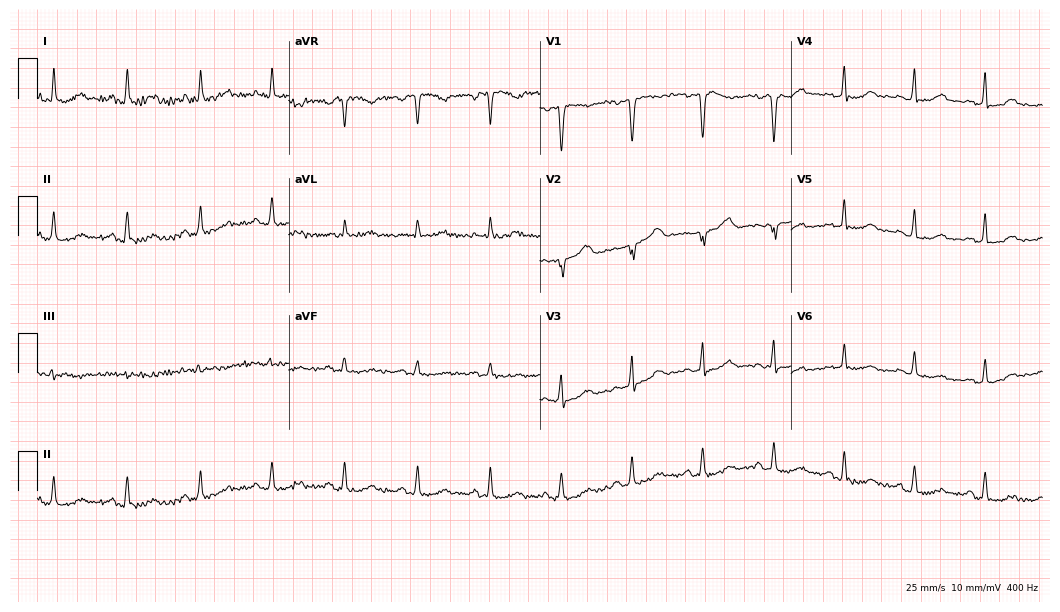
Resting 12-lead electrocardiogram (10.2-second recording at 400 Hz). Patient: a 45-year-old female. None of these six findings is recorded: first-degree AV block, right bundle branch block, left bundle branch block, sinus bradycardia, atrial fibrillation, sinus tachycardia.